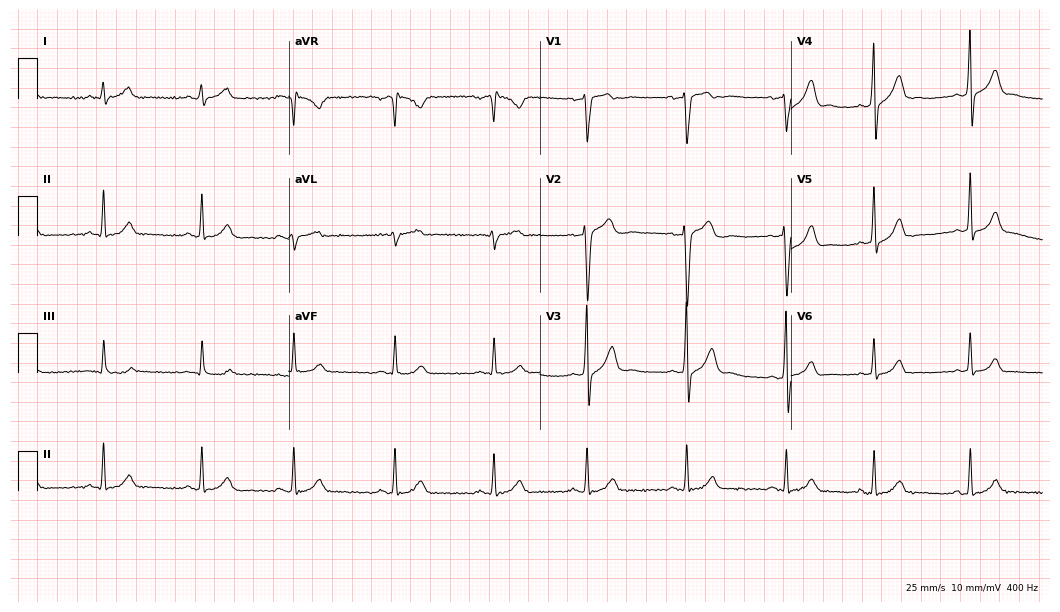
Resting 12-lead electrocardiogram. Patient: a 19-year-old male. Read as a normal ECG.